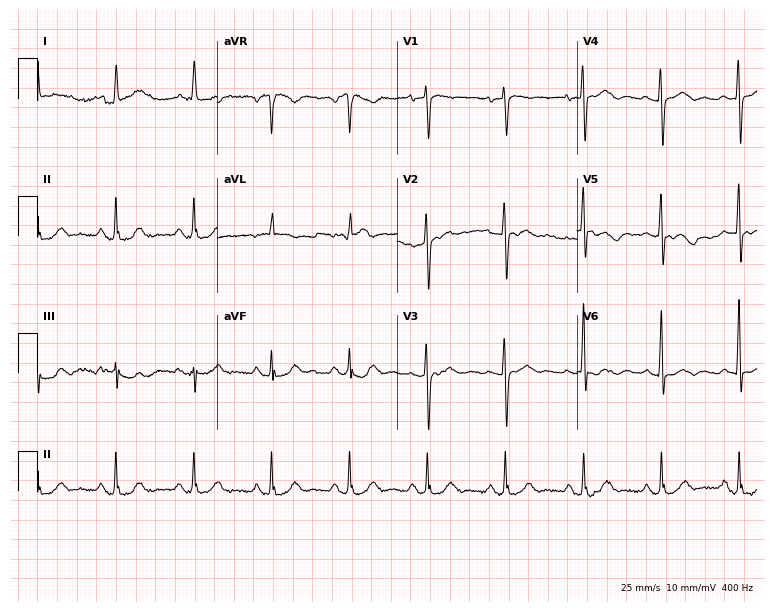
Electrocardiogram (7.3-second recording at 400 Hz), a female, 82 years old. Overall reading on record: normal ECG.